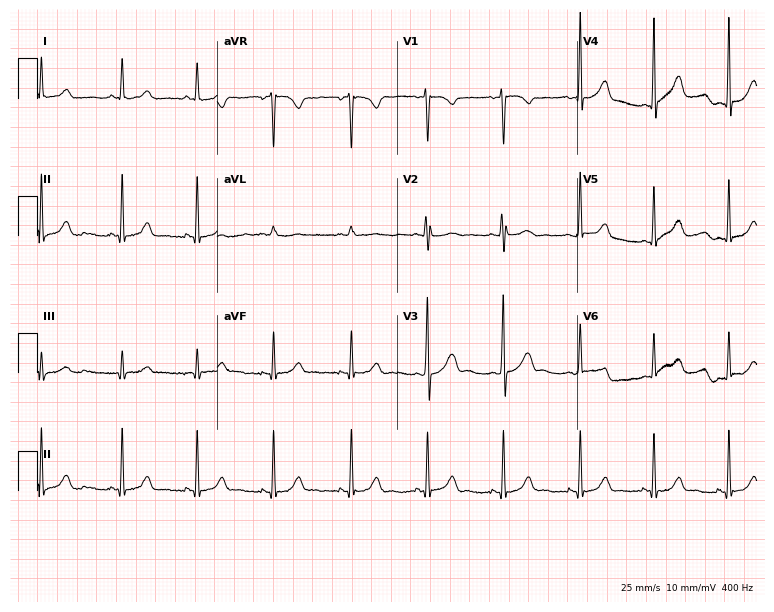
12-lead ECG (7.3-second recording at 400 Hz) from a female, 18 years old. Labelled as a normal ECG.